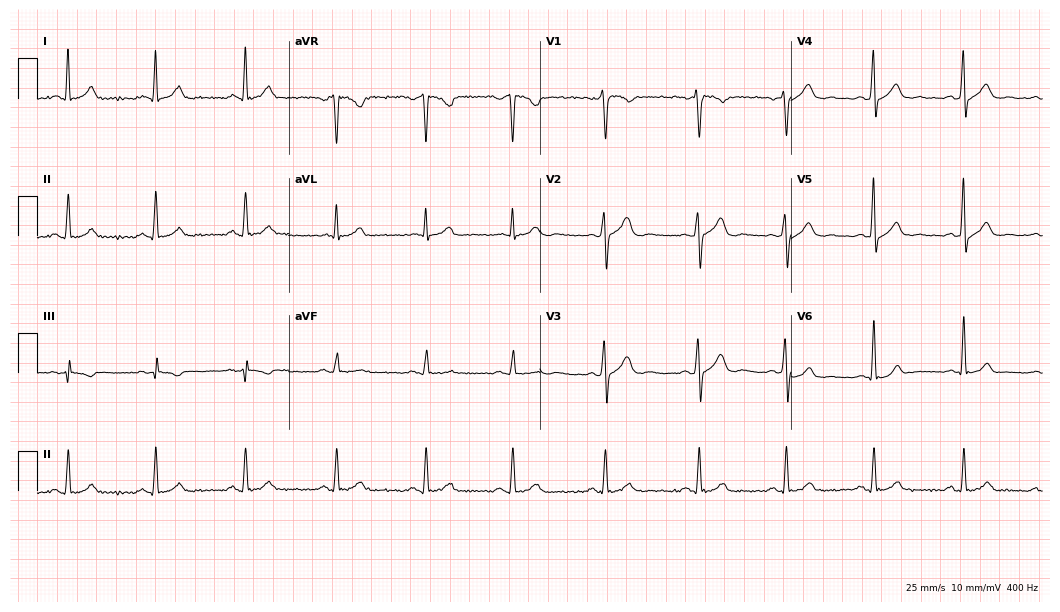
Standard 12-lead ECG recorded from a male patient, 34 years old (10.2-second recording at 400 Hz). Read as a normal ECG.